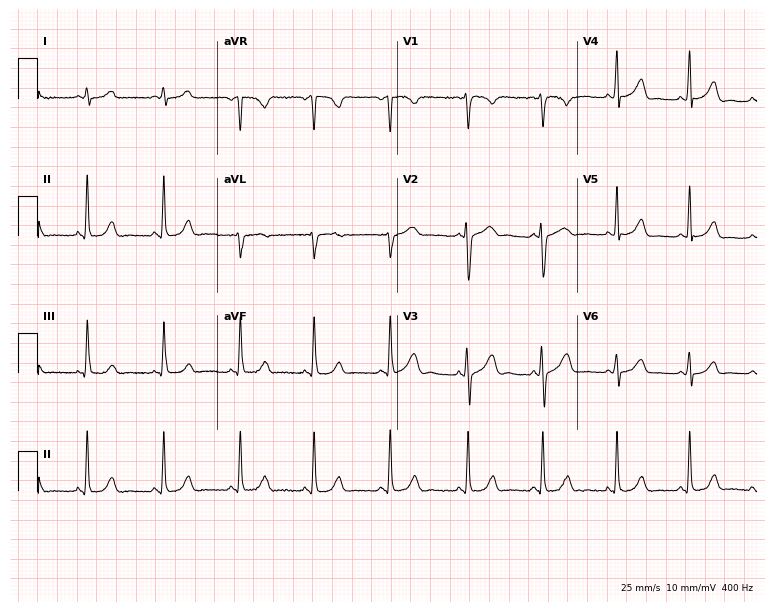
Resting 12-lead electrocardiogram (7.3-second recording at 400 Hz). Patient: an 18-year-old female. None of these six findings is recorded: first-degree AV block, right bundle branch block, left bundle branch block, sinus bradycardia, atrial fibrillation, sinus tachycardia.